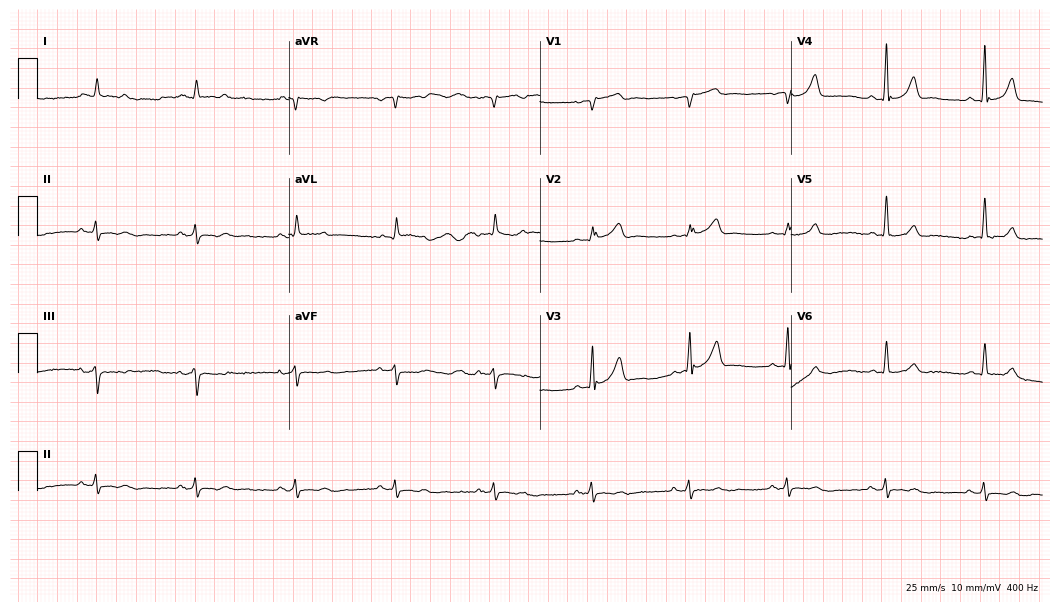
Resting 12-lead electrocardiogram. Patient: an 82-year-old male. Read as a normal ECG.